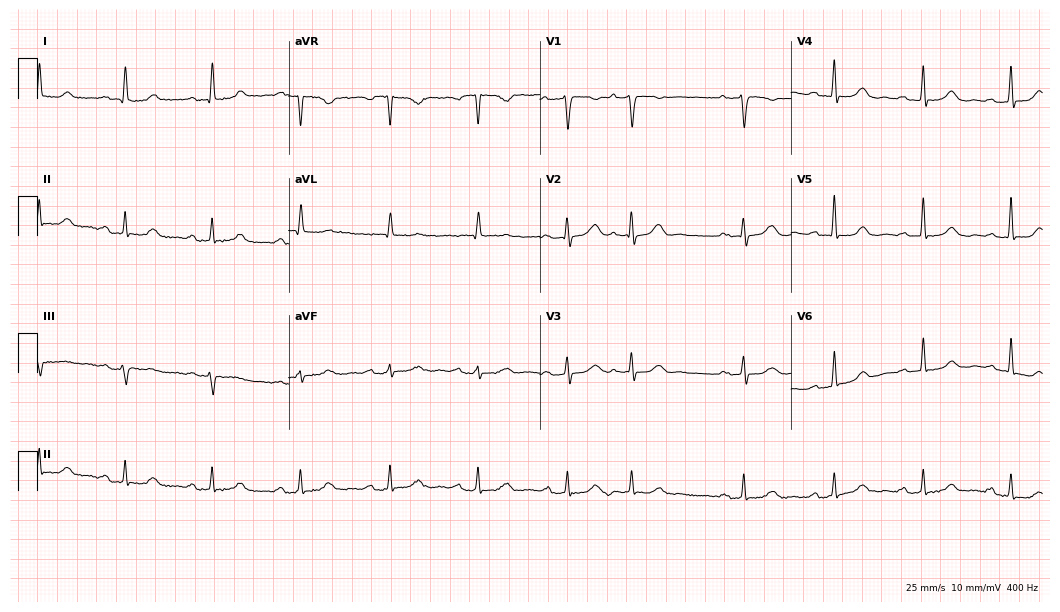
12-lead ECG (10.2-second recording at 400 Hz) from an 80-year-old female patient. Findings include first-degree AV block.